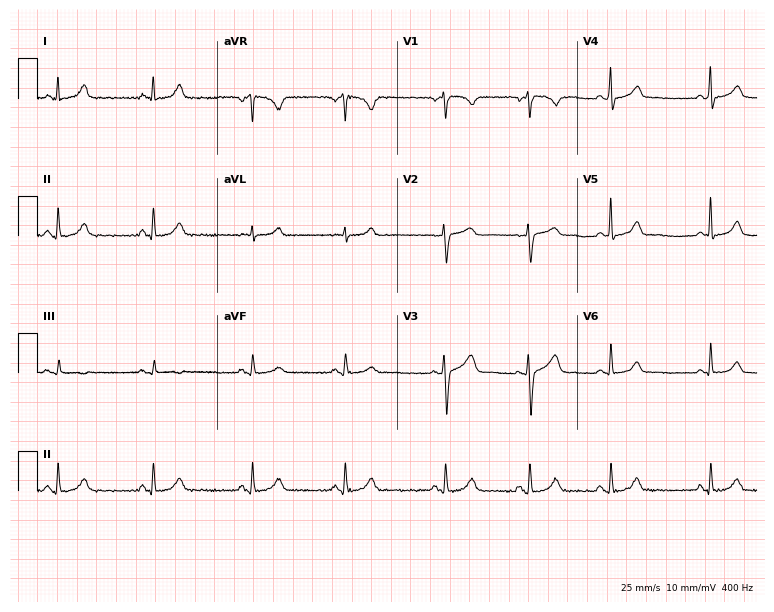
ECG (7.3-second recording at 400 Hz) — a 44-year-old woman. Labelled as a normal ECG.